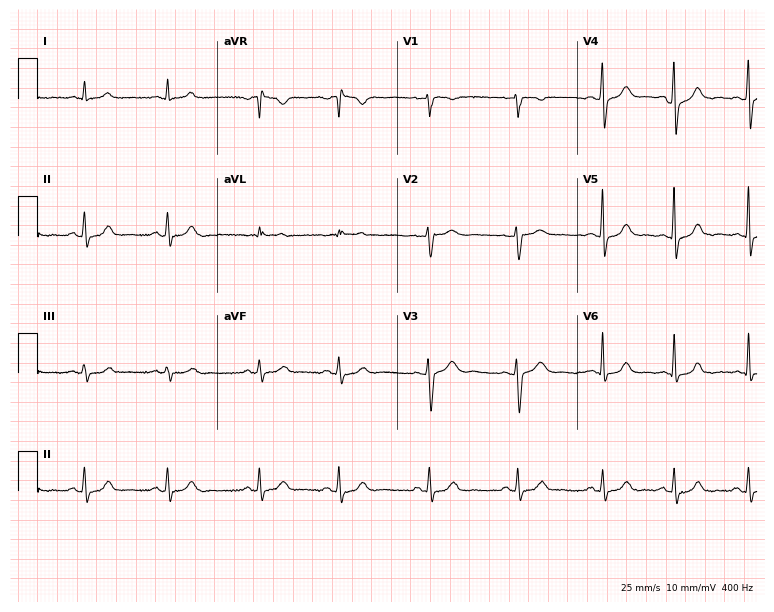
12-lead ECG from a female patient, 36 years old (7.3-second recording at 400 Hz). No first-degree AV block, right bundle branch block (RBBB), left bundle branch block (LBBB), sinus bradycardia, atrial fibrillation (AF) or sinus tachycardia recorded for this tracing. Other findings, if any, are not listed.